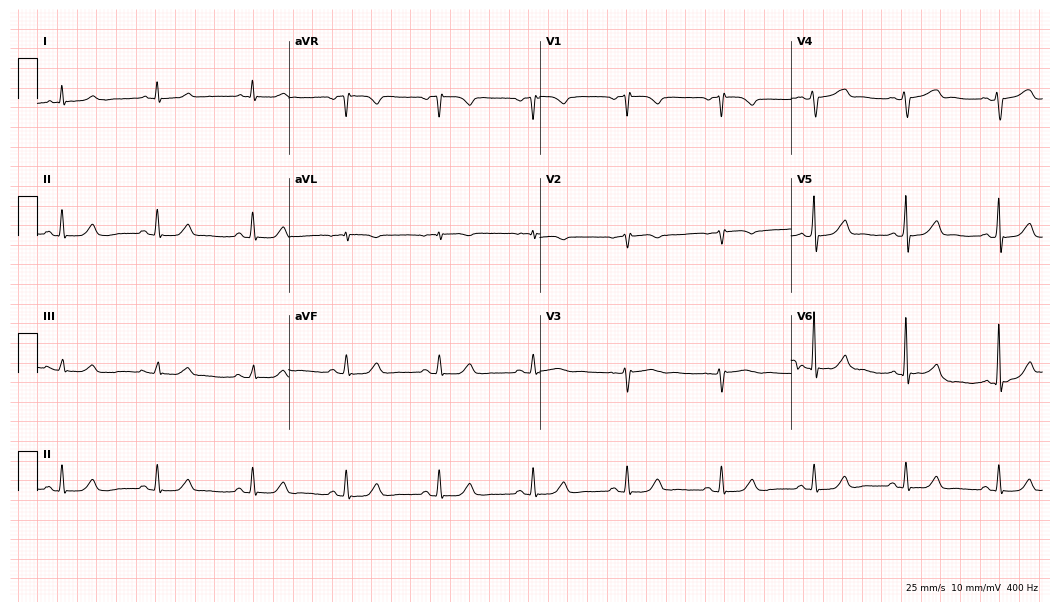
Resting 12-lead electrocardiogram. Patient: a female, 69 years old. None of these six findings is recorded: first-degree AV block, right bundle branch block (RBBB), left bundle branch block (LBBB), sinus bradycardia, atrial fibrillation (AF), sinus tachycardia.